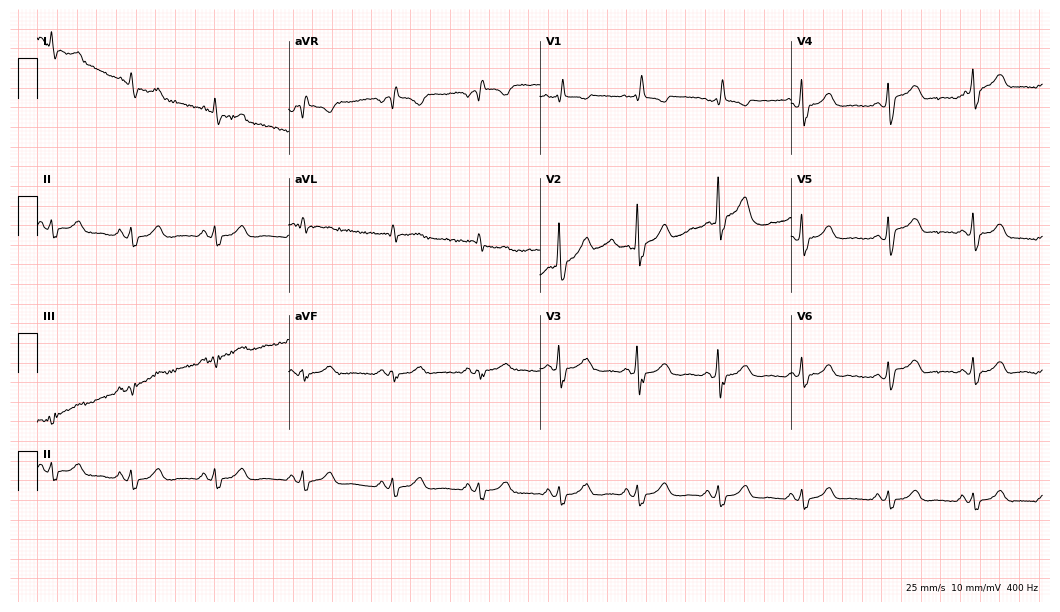
Electrocardiogram (10.2-second recording at 400 Hz), a 63-year-old woman. Of the six screened findings (first-degree AV block, right bundle branch block (RBBB), left bundle branch block (LBBB), sinus bradycardia, atrial fibrillation (AF), sinus tachycardia), none is recorded.